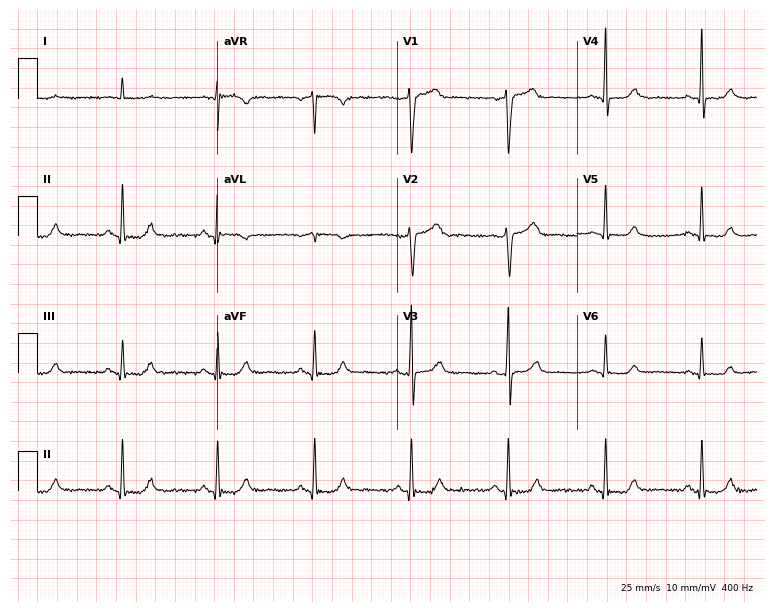
12-lead ECG from a 68-year-old male patient. No first-degree AV block, right bundle branch block, left bundle branch block, sinus bradycardia, atrial fibrillation or sinus tachycardia recorded for this tracing. Findings outside these six are not listed.